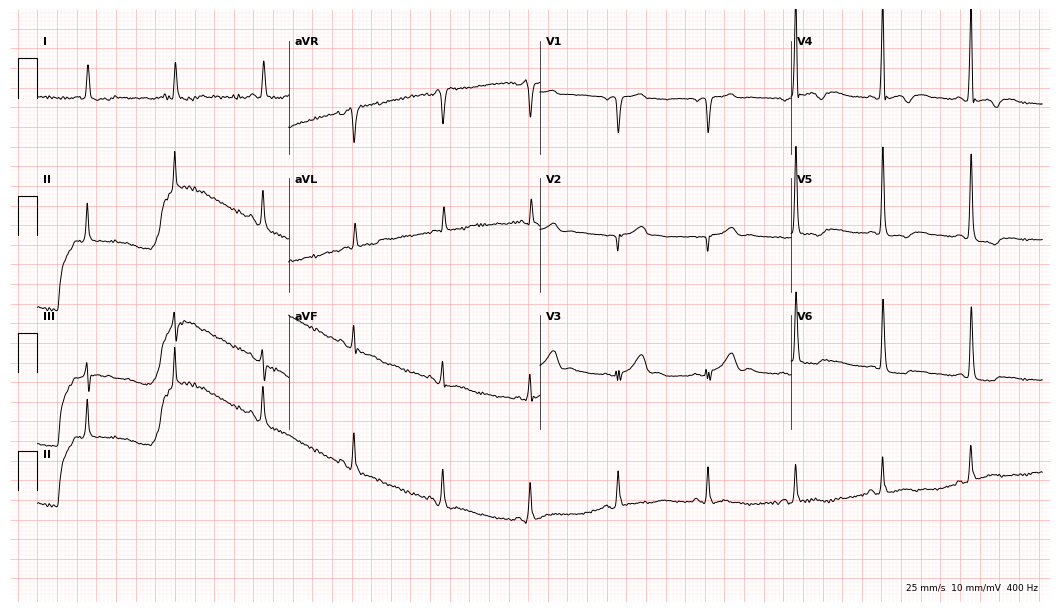
12-lead ECG from a male, 72 years old. No first-degree AV block, right bundle branch block, left bundle branch block, sinus bradycardia, atrial fibrillation or sinus tachycardia recorded for this tracing. Findings outside these six are not listed.